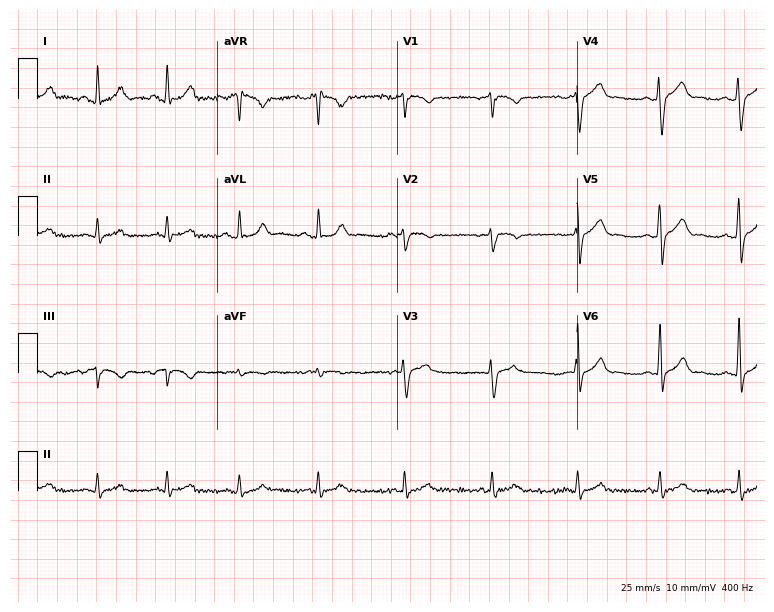
12-lead ECG from a 41-year-old male patient. Recorded interpretation: within normal limits.